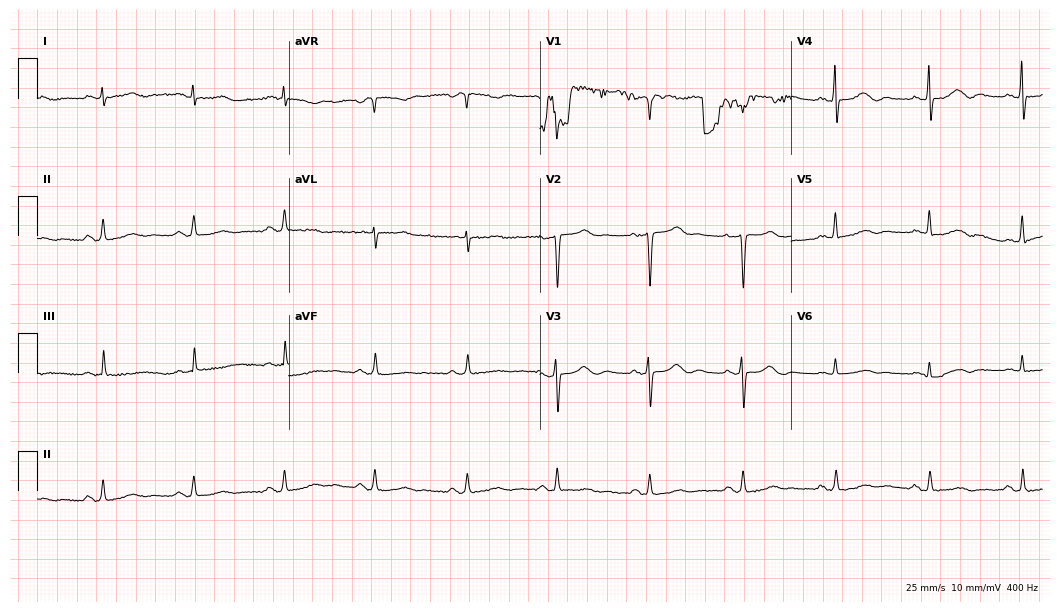
12-lead ECG from a female patient, 80 years old (10.2-second recording at 400 Hz). Recorded interpretation: within normal limits.